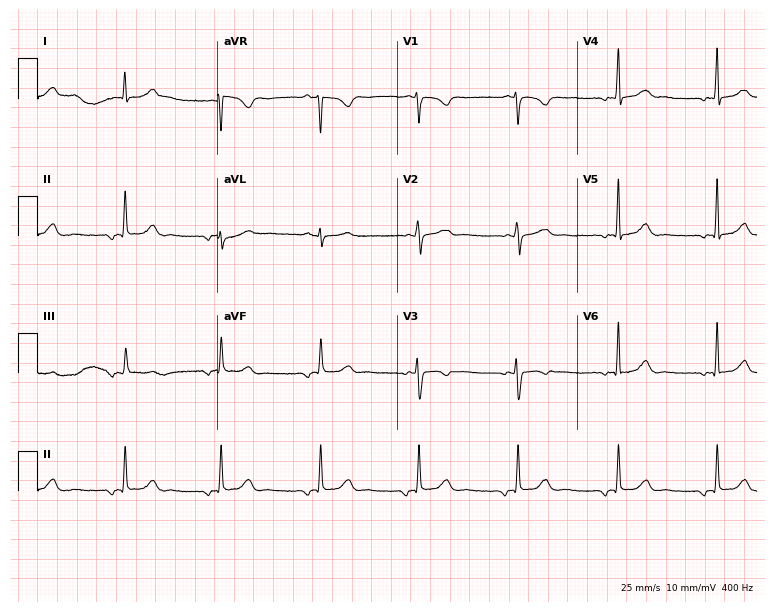
ECG (7.3-second recording at 400 Hz) — a 24-year-old female. Screened for six findings — first-degree AV block, right bundle branch block (RBBB), left bundle branch block (LBBB), sinus bradycardia, atrial fibrillation (AF), sinus tachycardia — none is recorded.